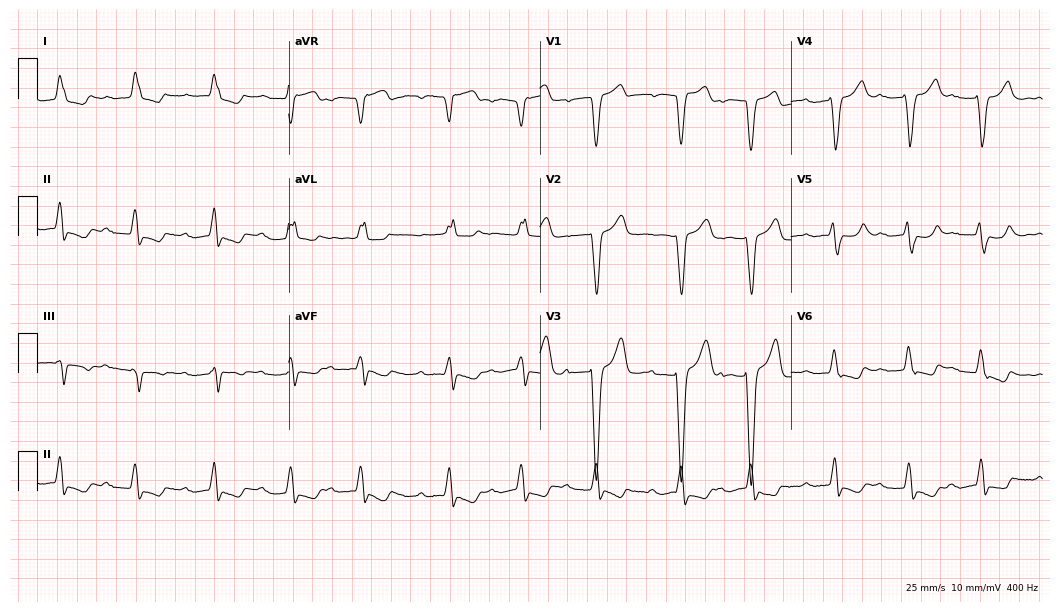
12-lead ECG (10.2-second recording at 400 Hz) from a female patient, 82 years old. Findings include left bundle branch block.